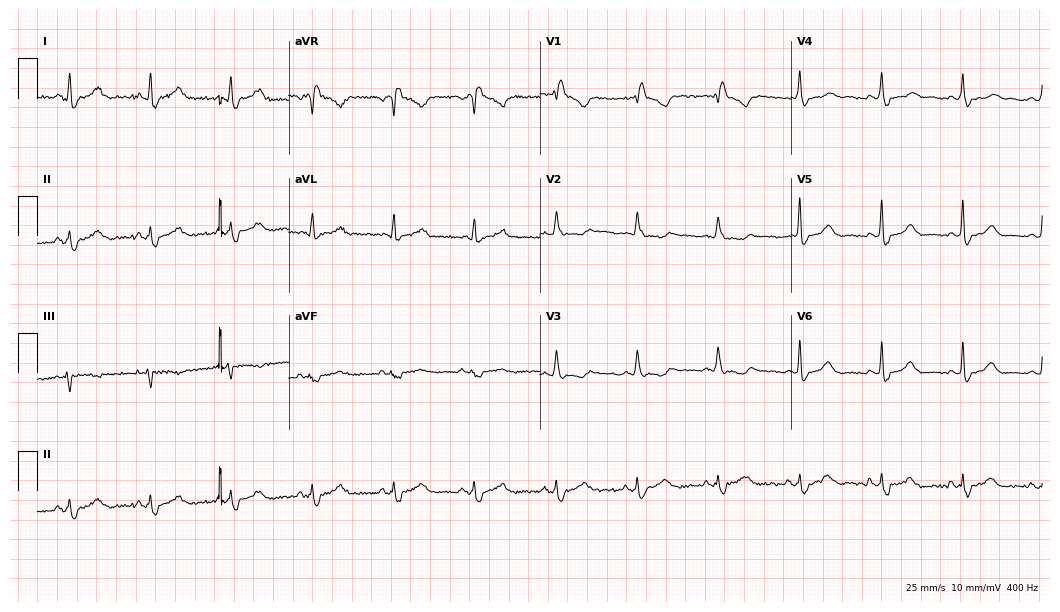
12-lead ECG from a 49-year-old woman. Shows right bundle branch block.